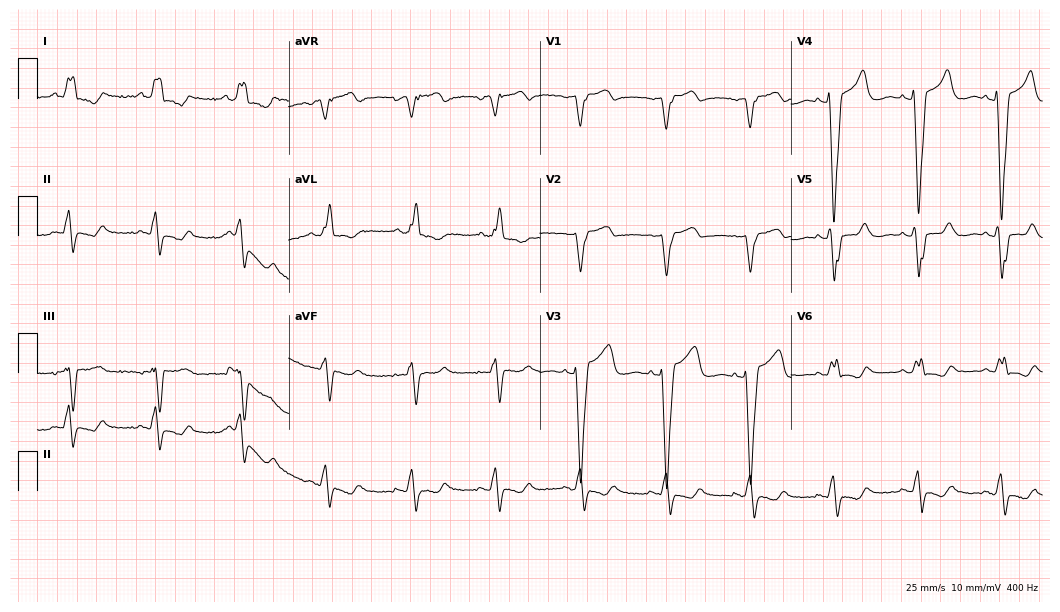
12-lead ECG from a 61-year-old woman. Findings include left bundle branch block (LBBB).